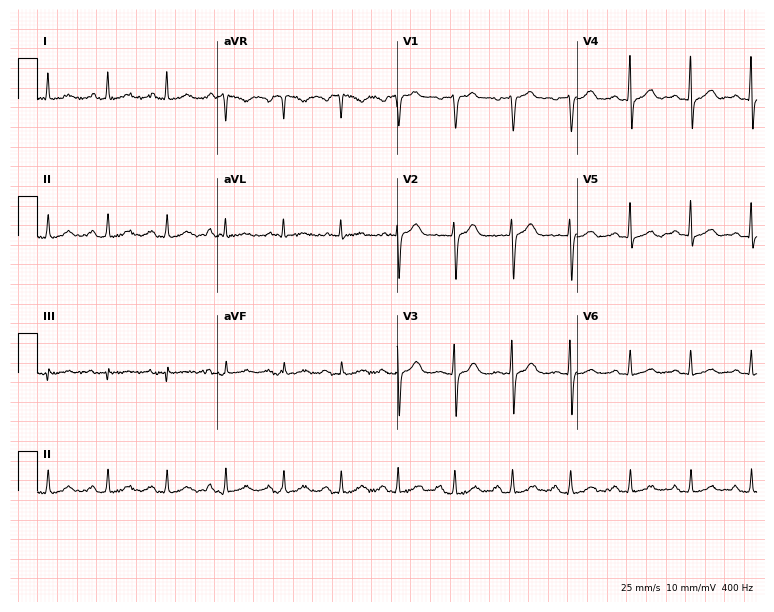
12-lead ECG from a 46-year-old man. Screened for six findings — first-degree AV block, right bundle branch block (RBBB), left bundle branch block (LBBB), sinus bradycardia, atrial fibrillation (AF), sinus tachycardia — none is recorded.